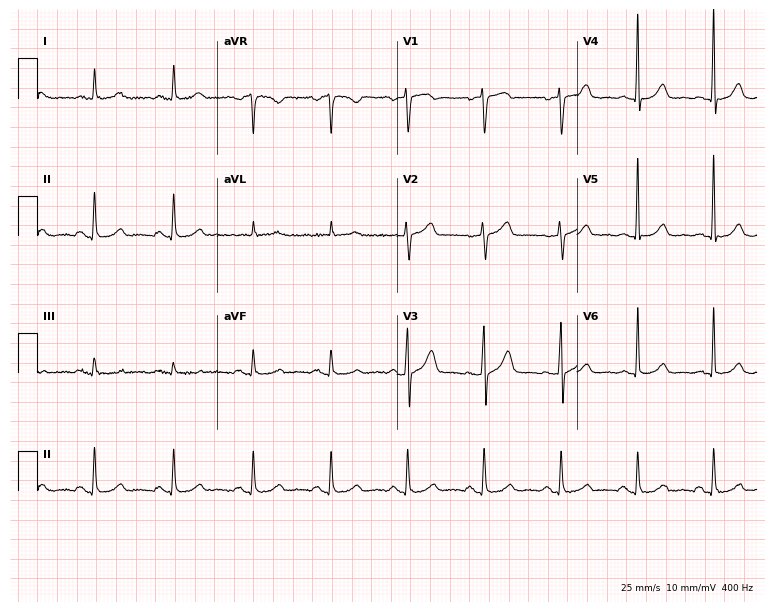
12-lead ECG from a woman, 49 years old (7.3-second recording at 400 Hz). Recorded interpretation: within normal limits.